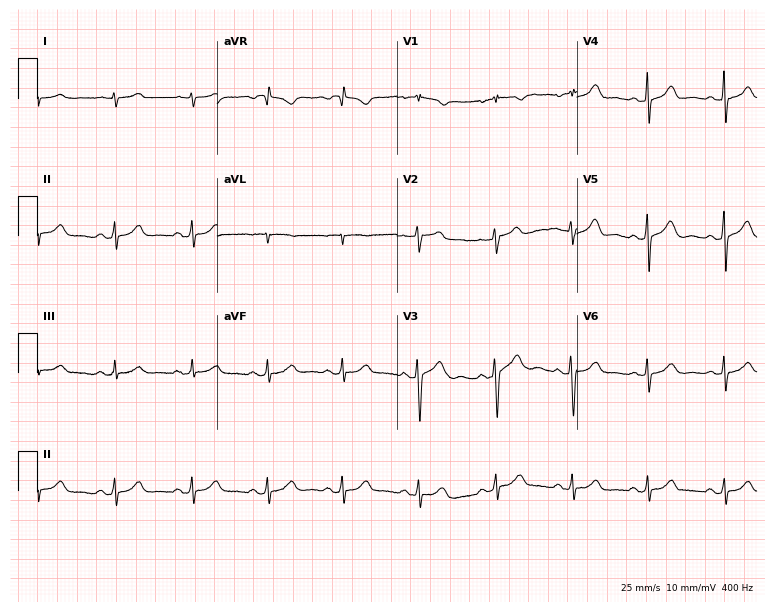
Electrocardiogram (7.3-second recording at 400 Hz), a female patient, 52 years old. Of the six screened findings (first-degree AV block, right bundle branch block, left bundle branch block, sinus bradycardia, atrial fibrillation, sinus tachycardia), none is recorded.